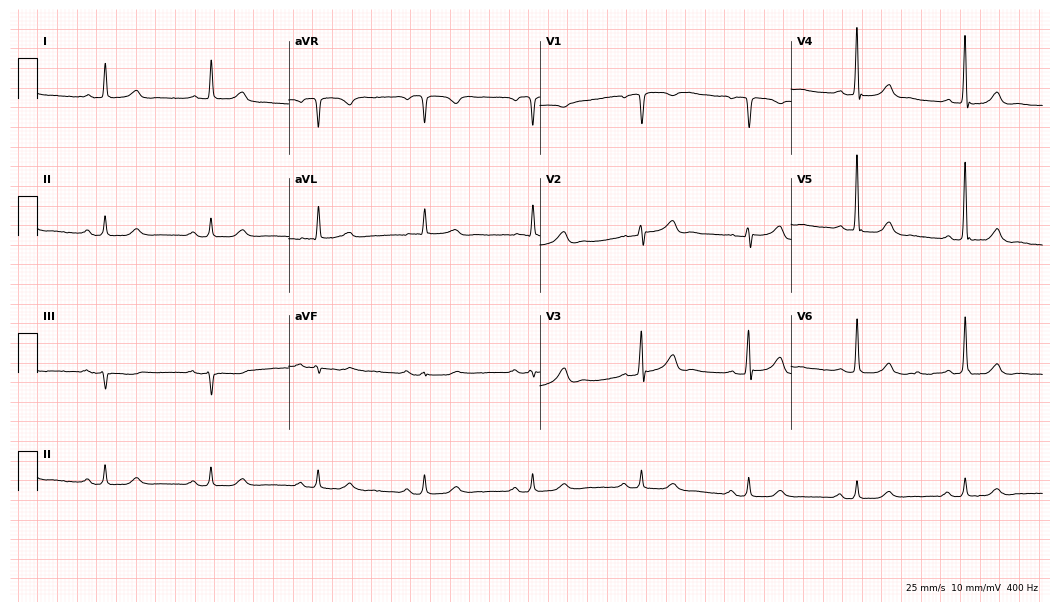
12-lead ECG from a male, 83 years old. Recorded interpretation: within normal limits.